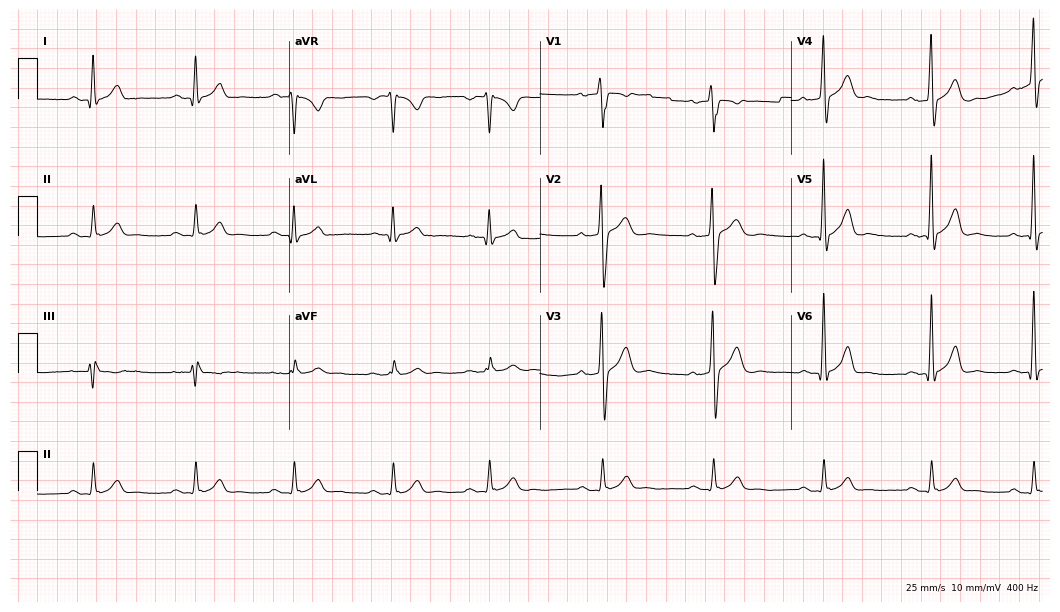
ECG (10.2-second recording at 400 Hz) — a 25-year-old female. Screened for six findings — first-degree AV block, right bundle branch block, left bundle branch block, sinus bradycardia, atrial fibrillation, sinus tachycardia — none is recorded.